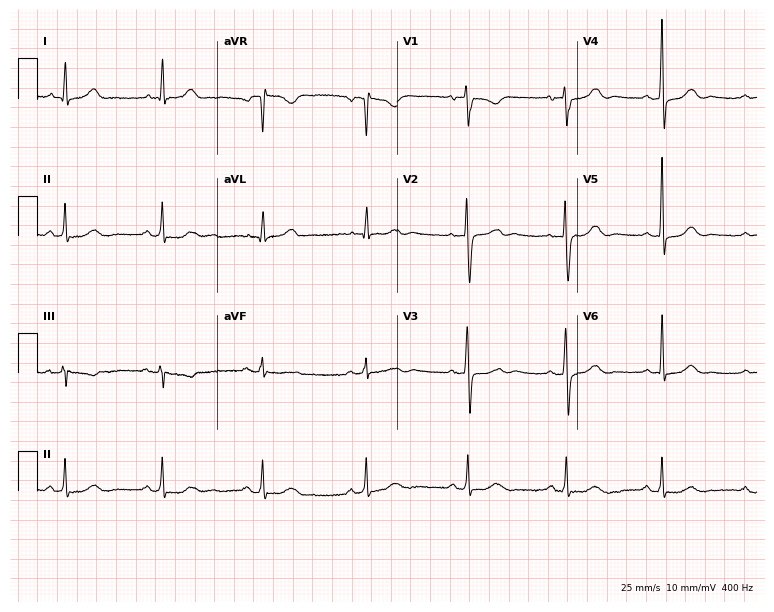
Electrocardiogram (7.3-second recording at 400 Hz), a 56-year-old female. Of the six screened findings (first-degree AV block, right bundle branch block, left bundle branch block, sinus bradycardia, atrial fibrillation, sinus tachycardia), none is recorded. Findings outside these six are not listed.